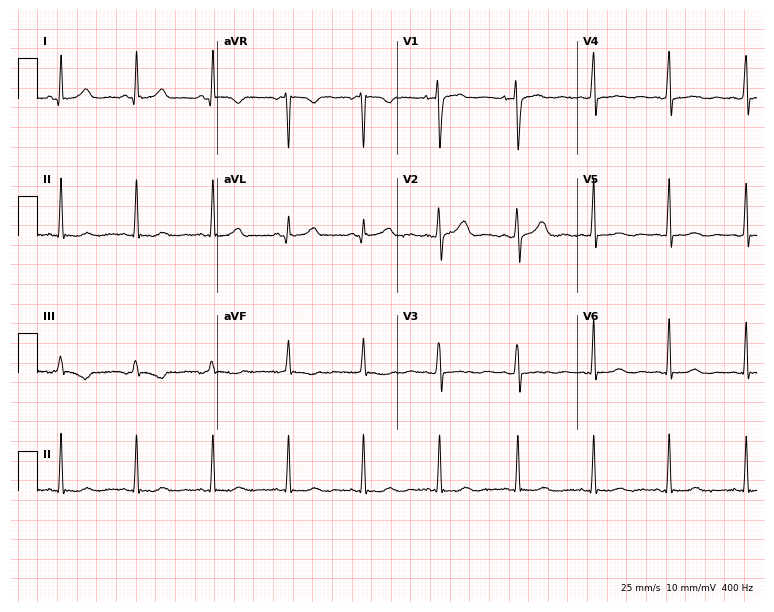
12-lead ECG from a woman, 35 years old. Labelled as a normal ECG.